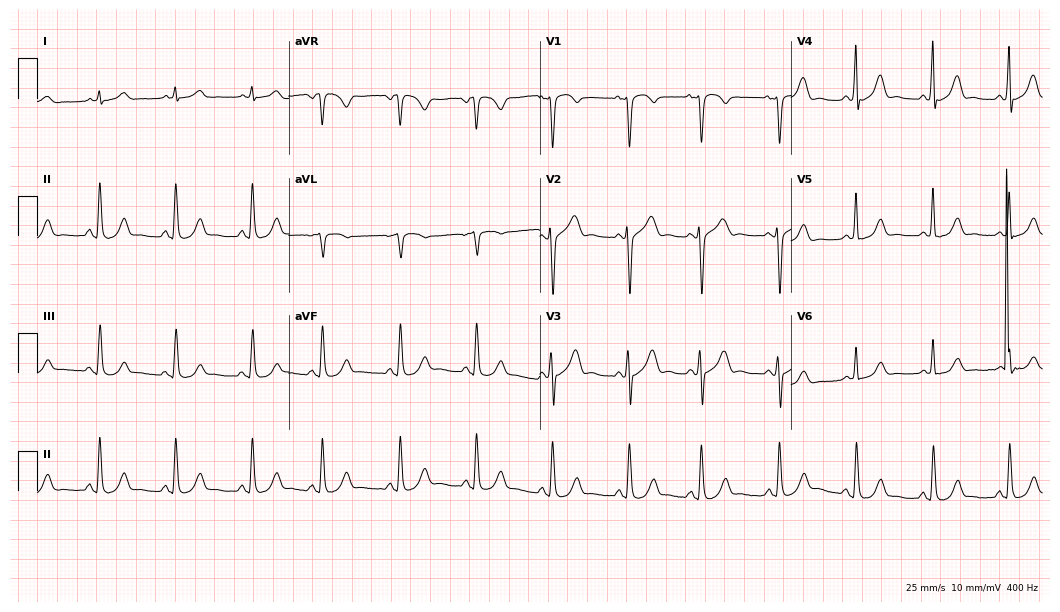
ECG (10.2-second recording at 400 Hz) — a male patient, 65 years old. Labelled as a normal ECG.